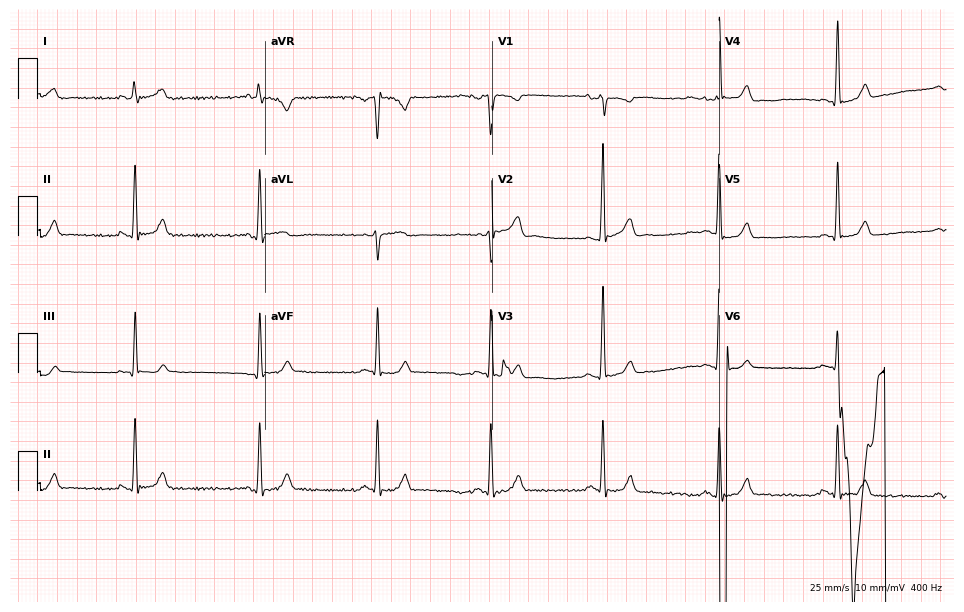
12-lead ECG (9.3-second recording at 400 Hz) from a male, 17 years old. Screened for six findings — first-degree AV block, right bundle branch block (RBBB), left bundle branch block (LBBB), sinus bradycardia, atrial fibrillation (AF), sinus tachycardia — none is recorded. Findings outside these six are not listed.